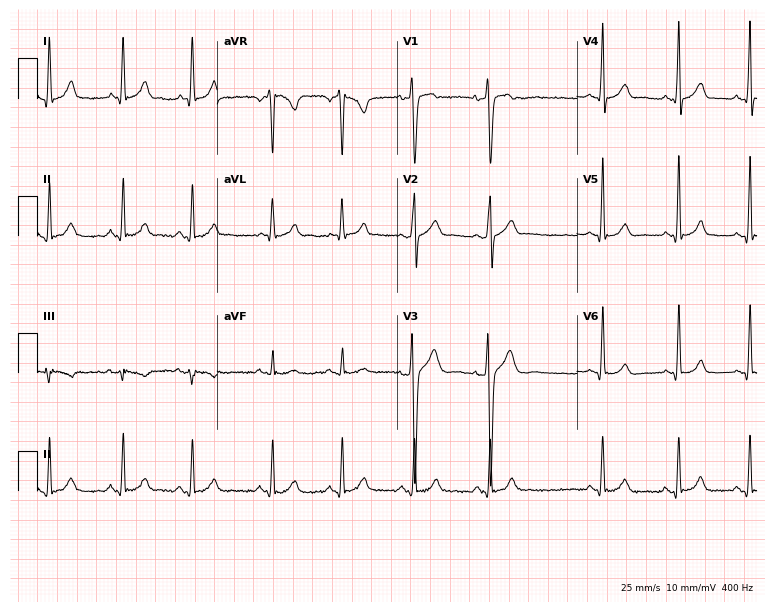
Electrocardiogram (7.3-second recording at 400 Hz), a male, 19 years old. Overall reading on record: normal ECG.